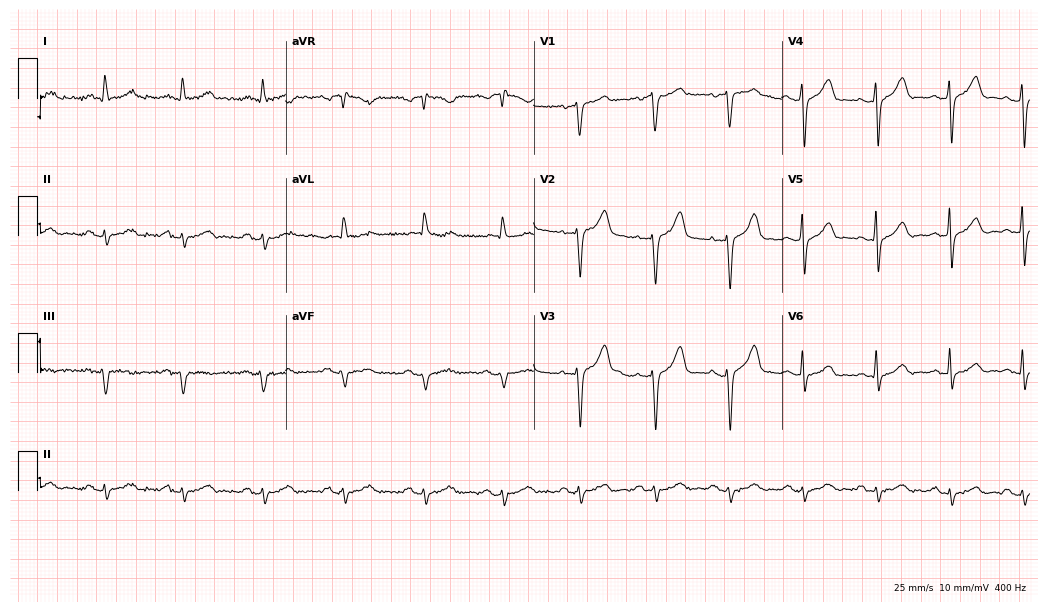
12-lead ECG (10.1-second recording at 400 Hz) from a male, 82 years old. Screened for six findings — first-degree AV block, right bundle branch block, left bundle branch block, sinus bradycardia, atrial fibrillation, sinus tachycardia — none is recorded. Other findings, if any, are not listed.